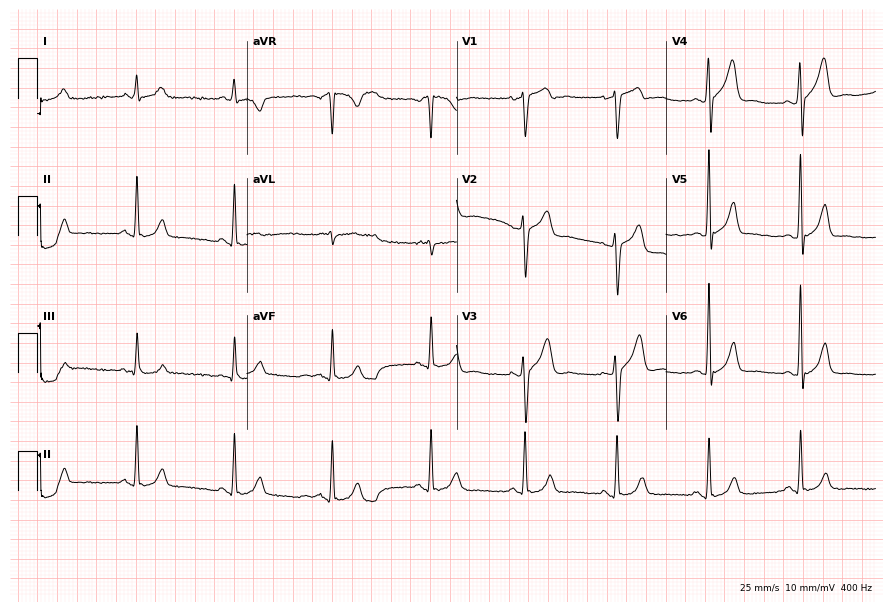
Resting 12-lead electrocardiogram (8.5-second recording at 400 Hz). Patient: a 49-year-old male. Read as a normal ECG.